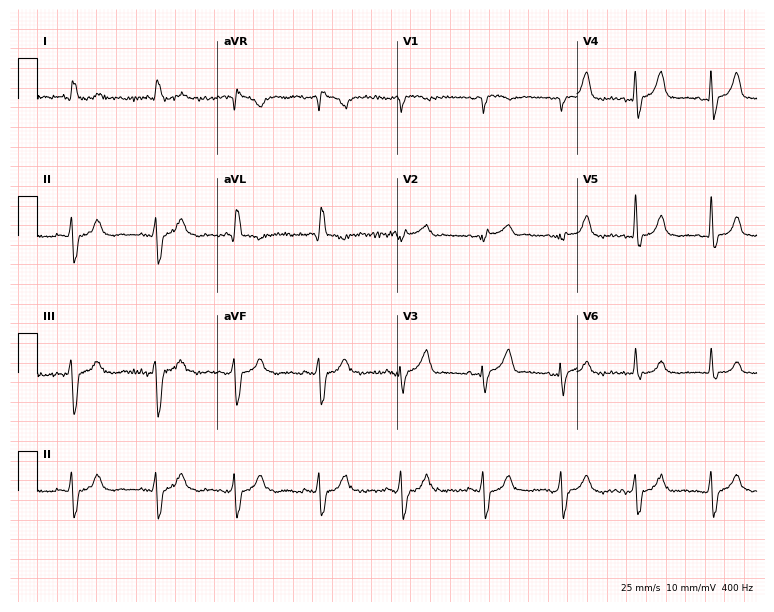
Standard 12-lead ECG recorded from a female, 85 years old (7.3-second recording at 400 Hz). None of these six findings is recorded: first-degree AV block, right bundle branch block (RBBB), left bundle branch block (LBBB), sinus bradycardia, atrial fibrillation (AF), sinus tachycardia.